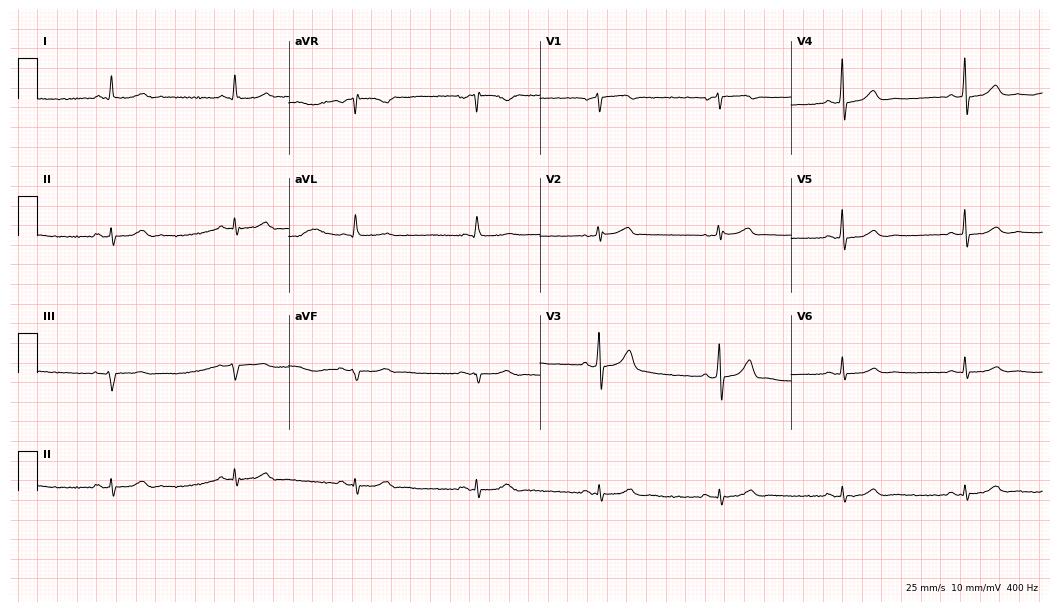
Electrocardiogram, a male patient, 66 years old. Interpretation includes sinus bradycardia (a sinus rate of 50 beats per minute or less).